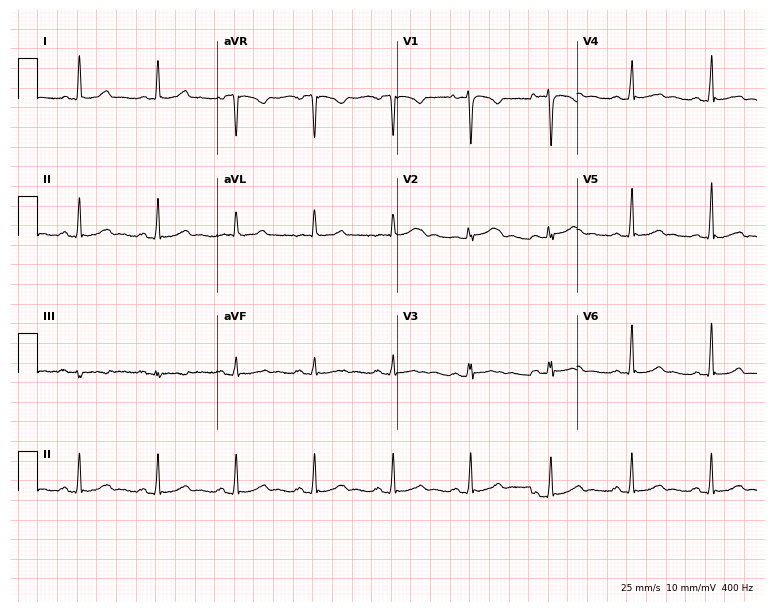
12-lead ECG from a 38-year-old female patient (7.3-second recording at 400 Hz). Recorded interpretation: within normal limits.